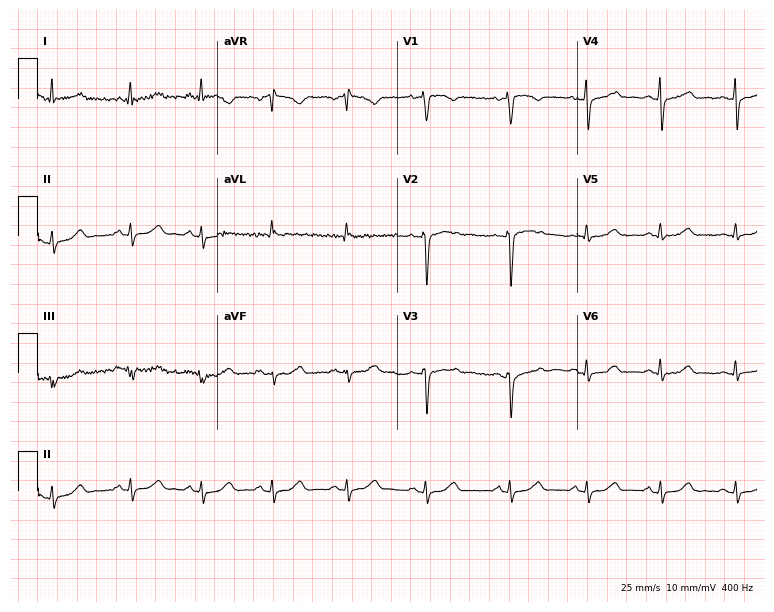
12-lead ECG from a 51-year-old woman (7.3-second recording at 400 Hz). Recorded interpretation: within normal limits.